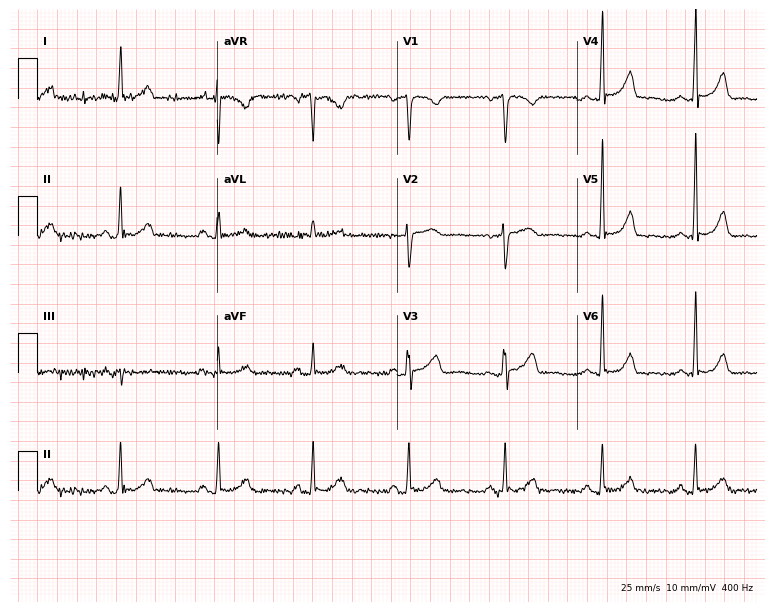
ECG — a woman, 52 years old. Labelled as a normal ECG.